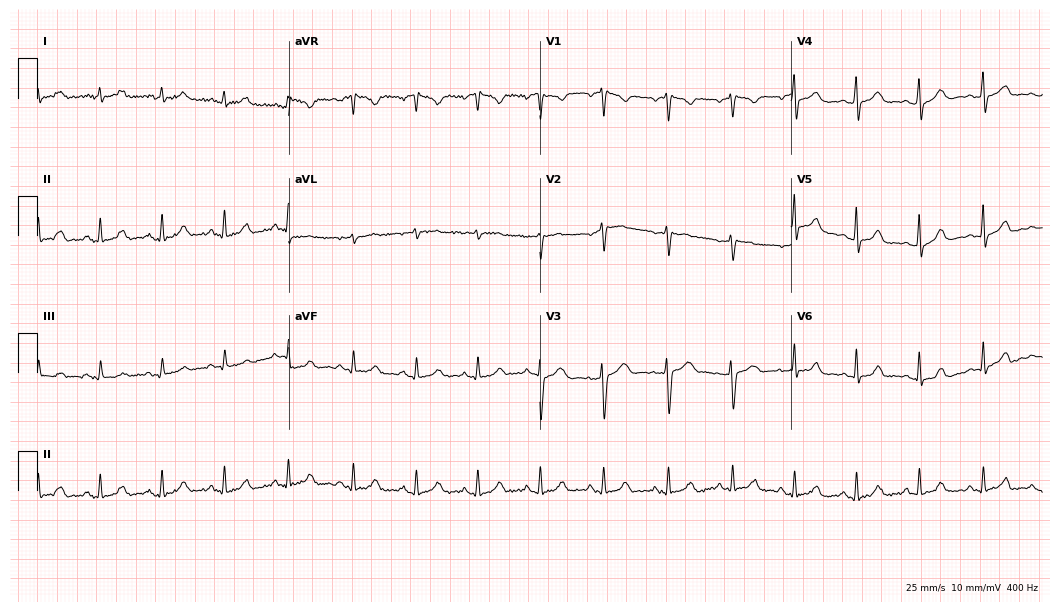
12-lead ECG from a 31-year-old female (10.2-second recording at 400 Hz). No first-degree AV block, right bundle branch block, left bundle branch block, sinus bradycardia, atrial fibrillation or sinus tachycardia recorded for this tracing. Only these six findings were labelled.